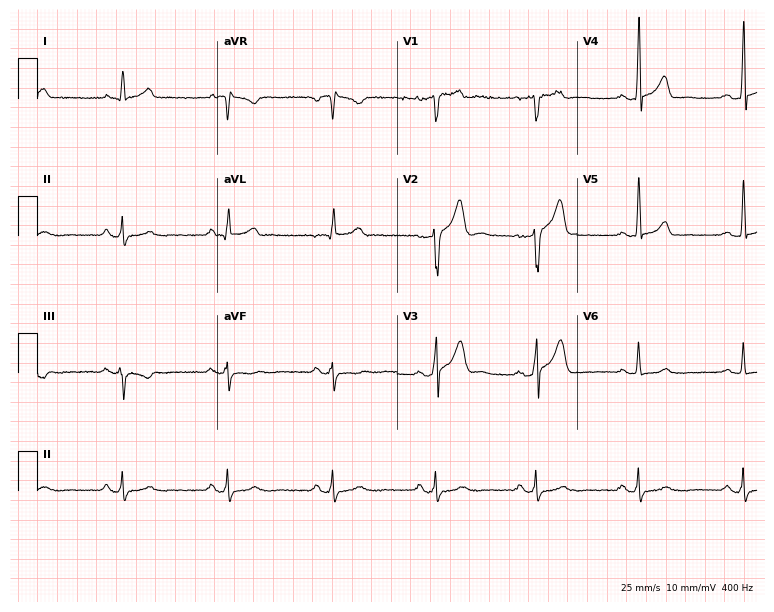
Standard 12-lead ECG recorded from a 46-year-old male. Read as a normal ECG.